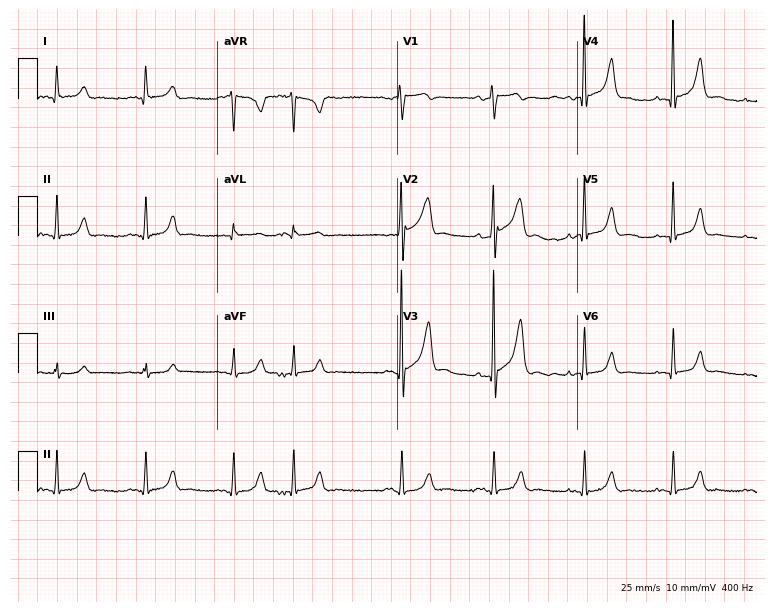
ECG — an 81-year-old male. Labelled as a normal ECG.